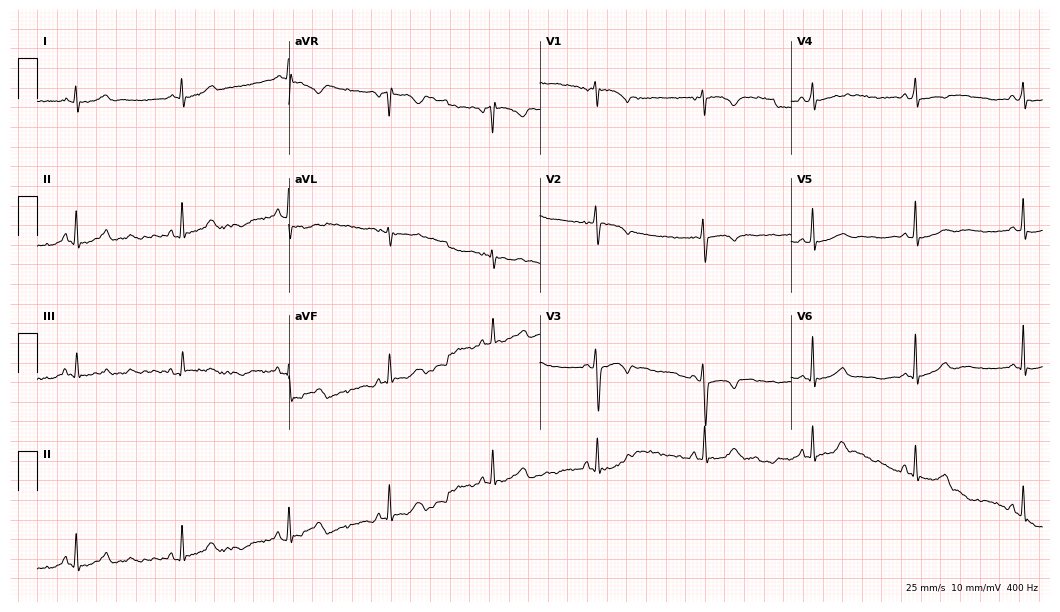
ECG — a female patient, 30 years old. Labelled as a normal ECG.